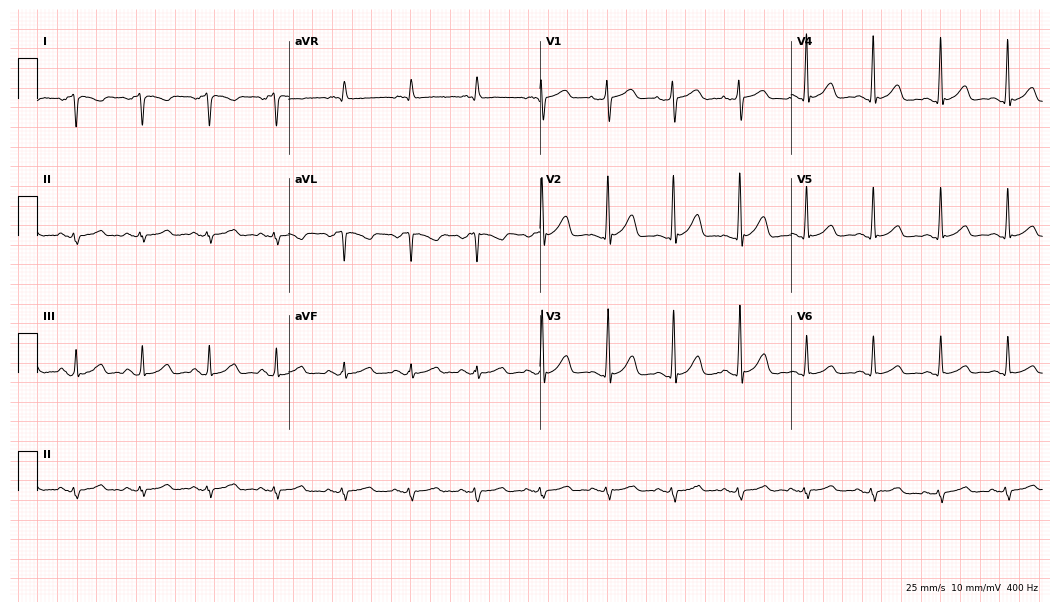
12-lead ECG from a female patient, 54 years old. No first-degree AV block, right bundle branch block, left bundle branch block, sinus bradycardia, atrial fibrillation or sinus tachycardia recorded for this tracing. Only these six findings were labelled.